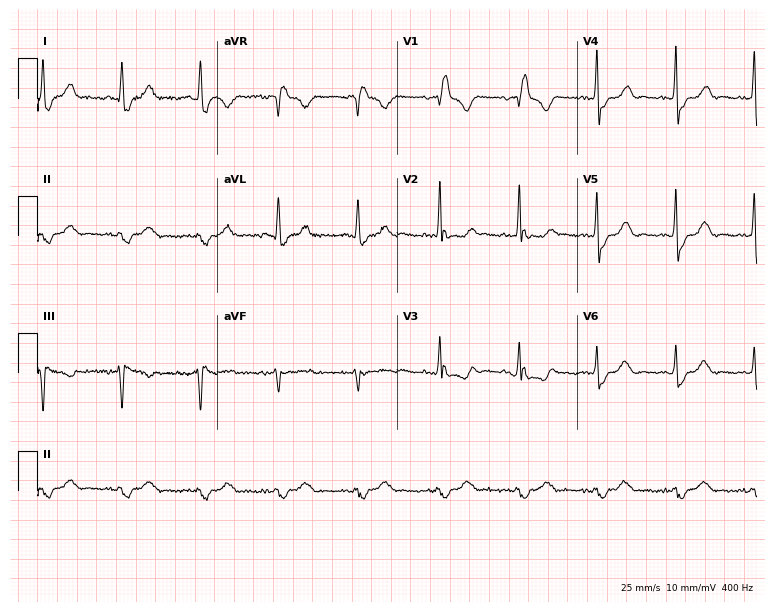
12-lead ECG (7.3-second recording at 400 Hz) from a female, 61 years old. Findings include right bundle branch block.